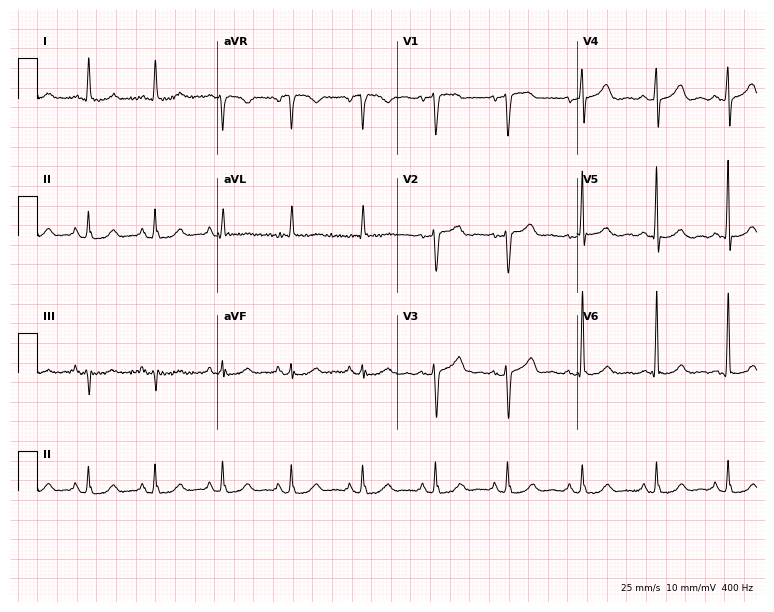
12-lead ECG from a 56-year-old woman. Labelled as a normal ECG.